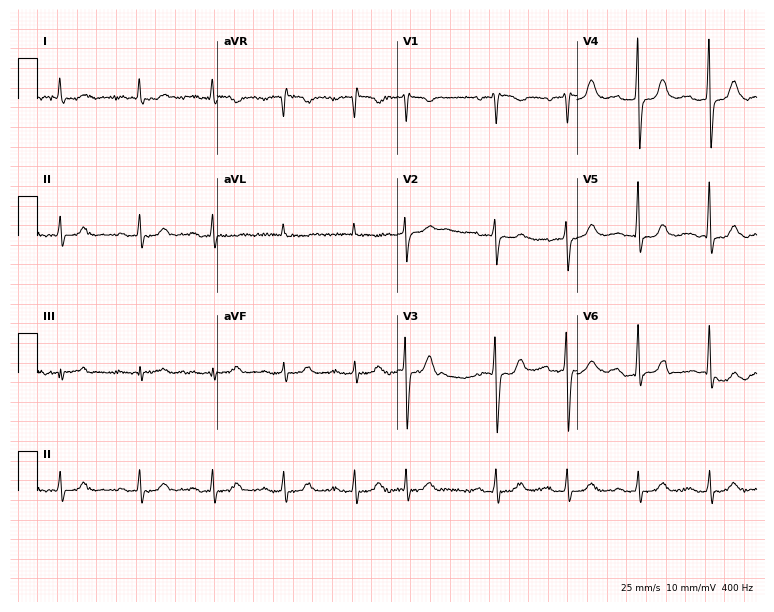
12-lead ECG (7.3-second recording at 400 Hz) from a 69-year-old man. Labelled as a normal ECG.